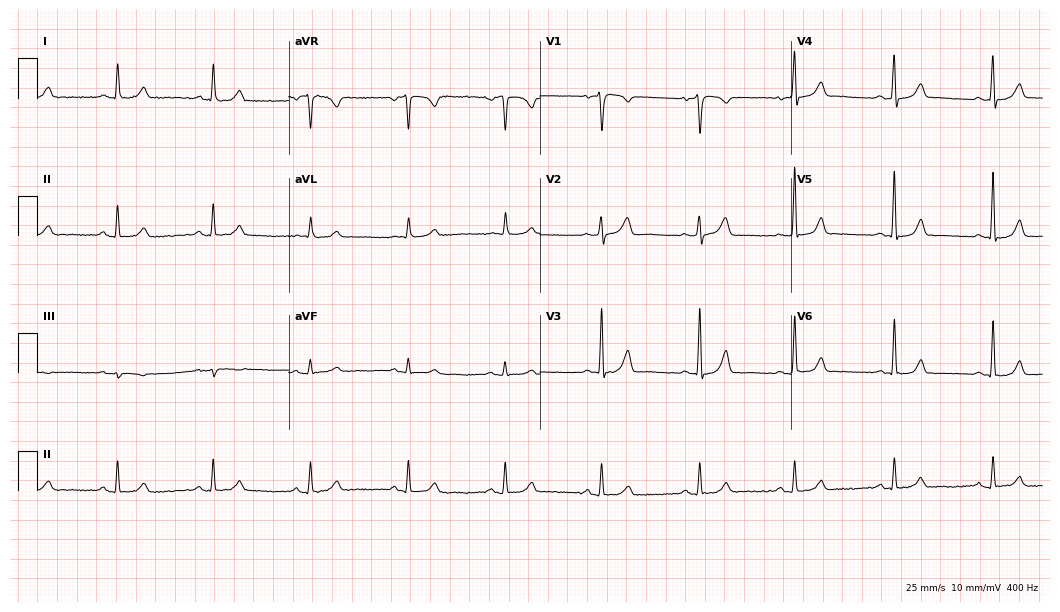
12-lead ECG (10.2-second recording at 400 Hz) from a 59-year-old woman. Screened for six findings — first-degree AV block, right bundle branch block, left bundle branch block, sinus bradycardia, atrial fibrillation, sinus tachycardia — none is recorded. Only these six findings were labelled.